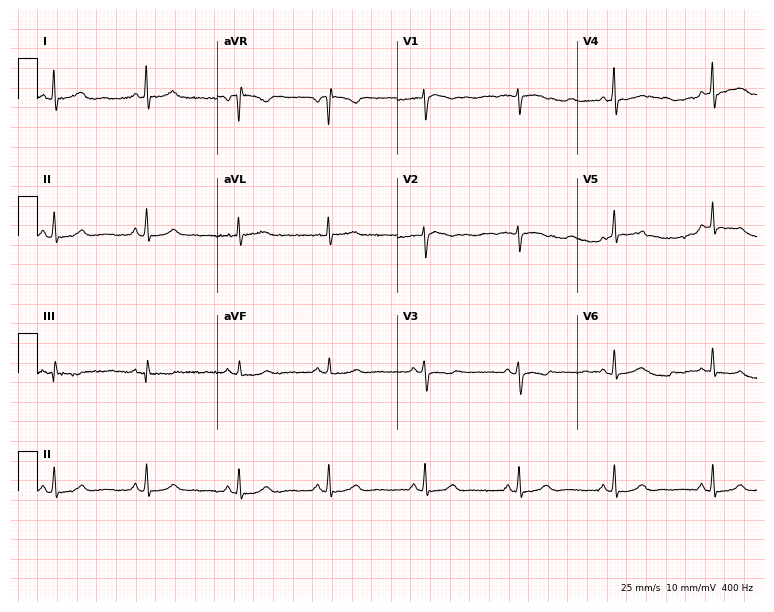
Standard 12-lead ECG recorded from a 50-year-old female (7.3-second recording at 400 Hz). None of these six findings is recorded: first-degree AV block, right bundle branch block (RBBB), left bundle branch block (LBBB), sinus bradycardia, atrial fibrillation (AF), sinus tachycardia.